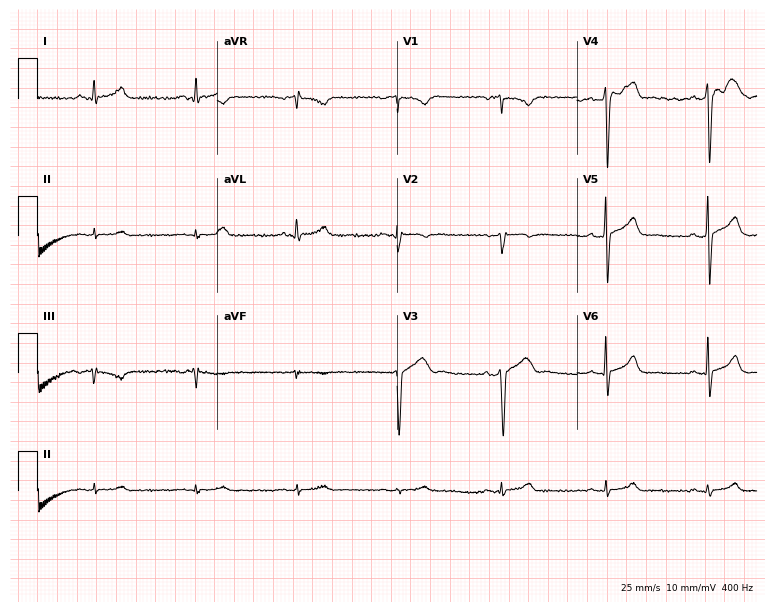
Standard 12-lead ECG recorded from a 37-year-old male patient (7.3-second recording at 400 Hz). Read as a normal ECG.